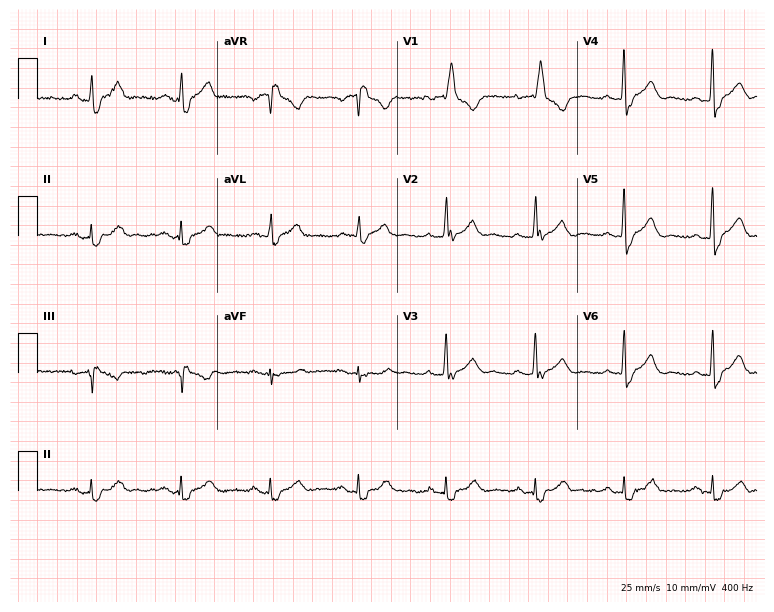
Electrocardiogram, a 57-year-old man. Interpretation includes right bundle branch block (RBBB).